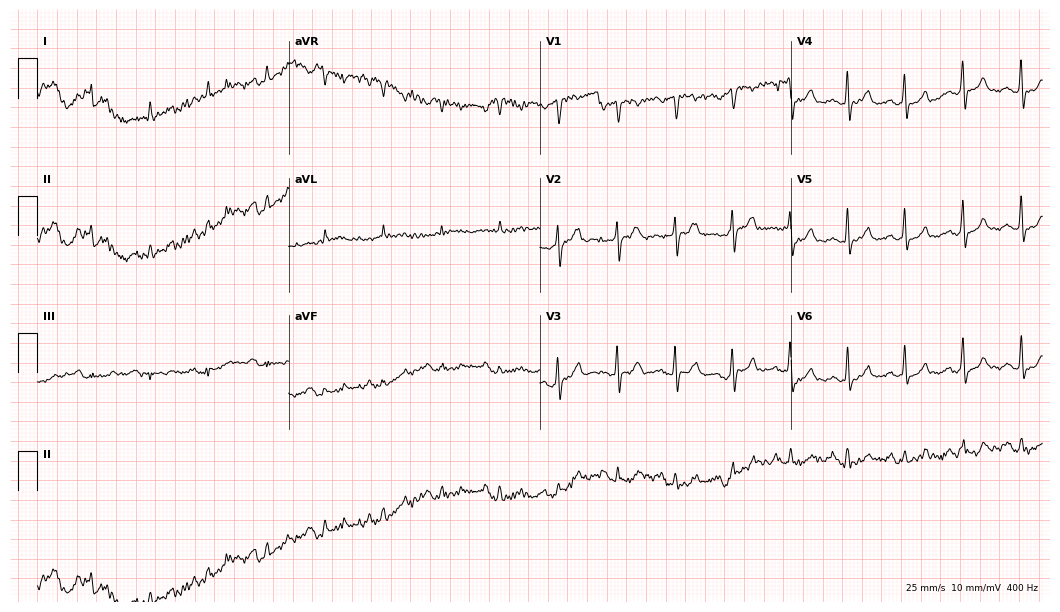
Resting 12-lead electrocardiogram. Patient: a male, 56 years old. The tracing shows sinus tachycardia (a sinus rate of 100 beats per minute or more).